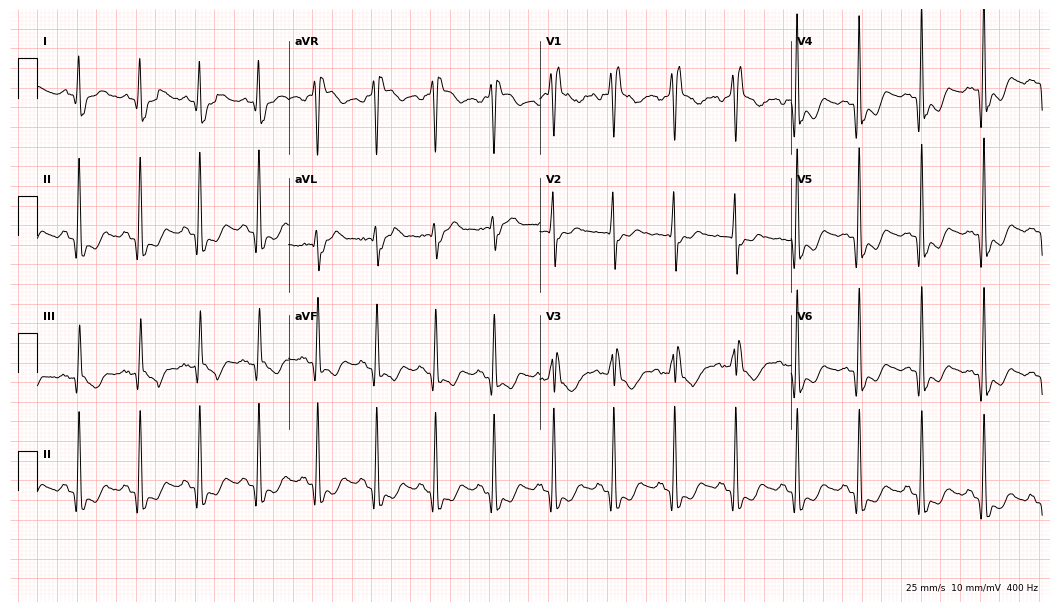
12-lead ECG (10.2-second recording at 400 Hz) from a 50-year-old male patient. Findings include right bundle branch block (RBBB).